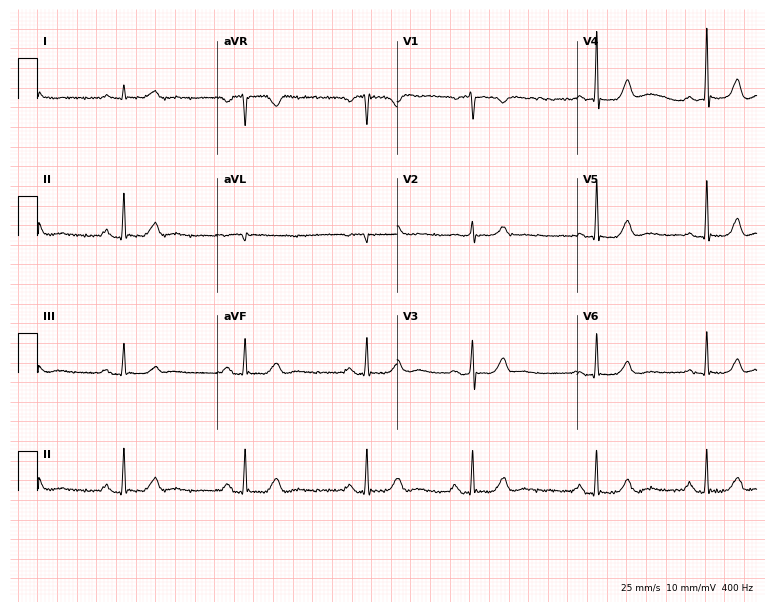
12-lead ECG (7.3-second recording at 400 Hz) from a 66-year-old female patient. Screened for six findings — first-degree AV block, right bundle branch block, left bundle branch block, sinus bradycardia, atrial fibrillation, sinus tachycardia — none is recorded. Findings outside these six are not listed.